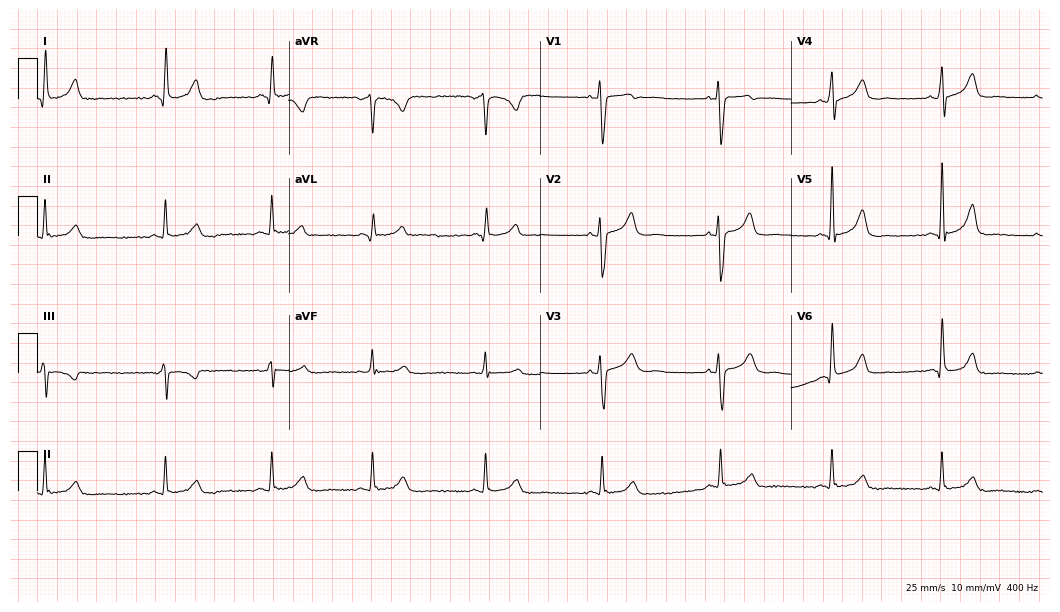
Electrocardiogram, a male, 41 years old. Of the six screened findings (first-degree AV block, right bundle branch block, left bundle branch block, sinus bradycardia, atrial fibrillation, sinus tachycardia), none is recorded.